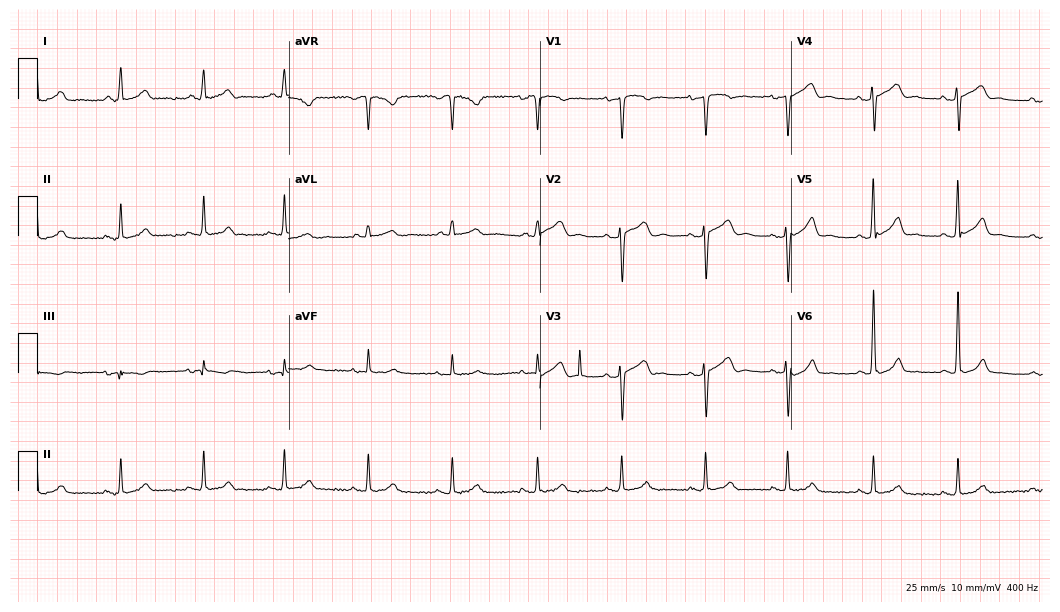
12-lead ECG from a 45-year-old female. Labelled as a normal ECG.